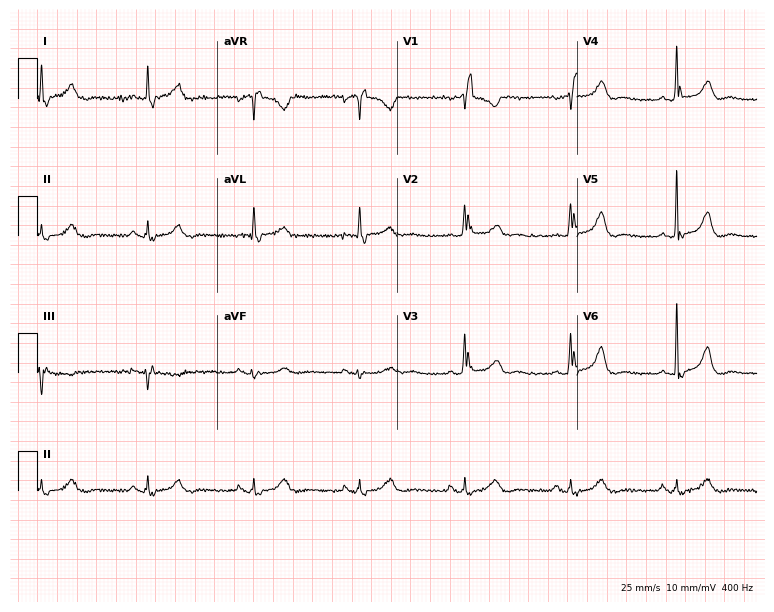
ECG (7.3-second recording at 400 Hz) — a woman, 81 years old. Findings include right bundle branch block (RBBB).